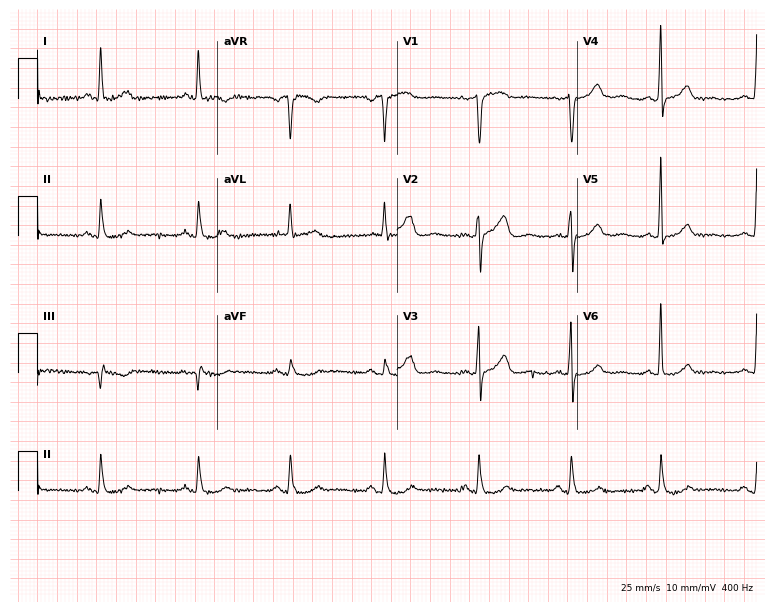
Electrocardiogram, a 67-year-old female patient. Of the six screened findings (first-degree AV block, right bundle branch block, left bundle branch block, sinus bradycardia, atrial fibrillation, sinus tachycardia), none is recorded.